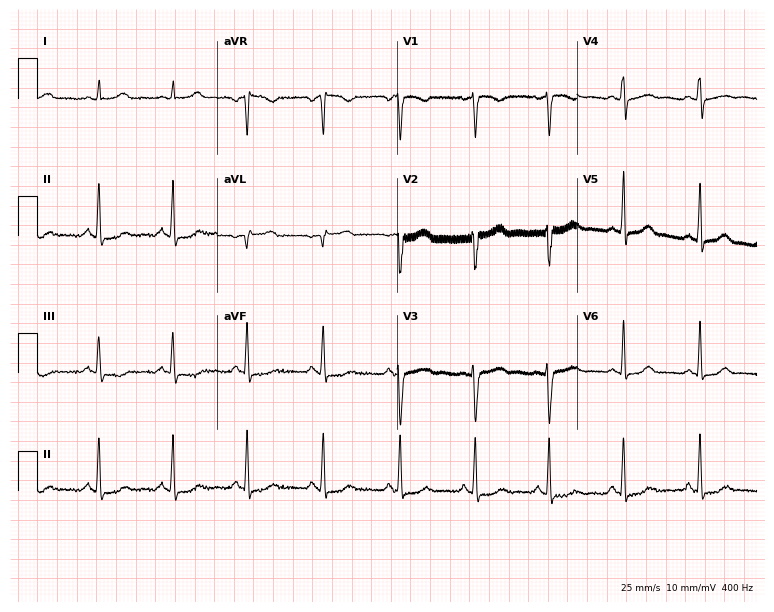
ECG (7.3-second recording at 400 Hz) — a woman, 30 years old. Screened for six findings — first-degree AV block, right bundle branch block (RBBB), left bundle branch block (LBBB), sinus bradycardia, atrial fibrillation (AF), sinus tachycardia — none is recorded.